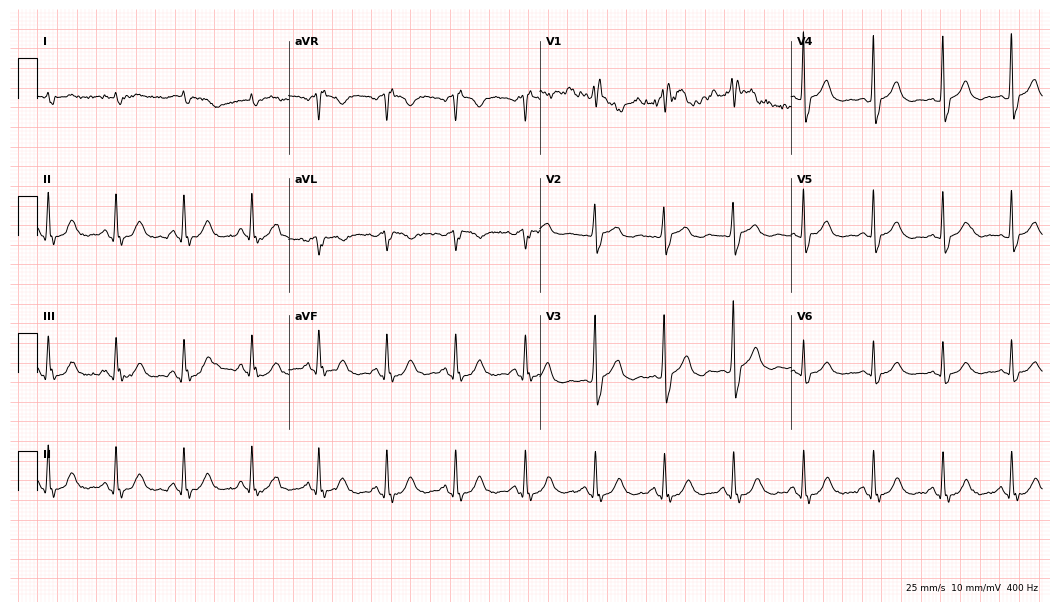
Electrocardiogram (10.2-second recording at 400 Hz), a man, 74 years old. Of the six screened findings (first-degree AV block, right bundle branch block, left bundle branch block, sinus bradycardia, atrial fibrillation, sinus tachycardia), none is recorded.